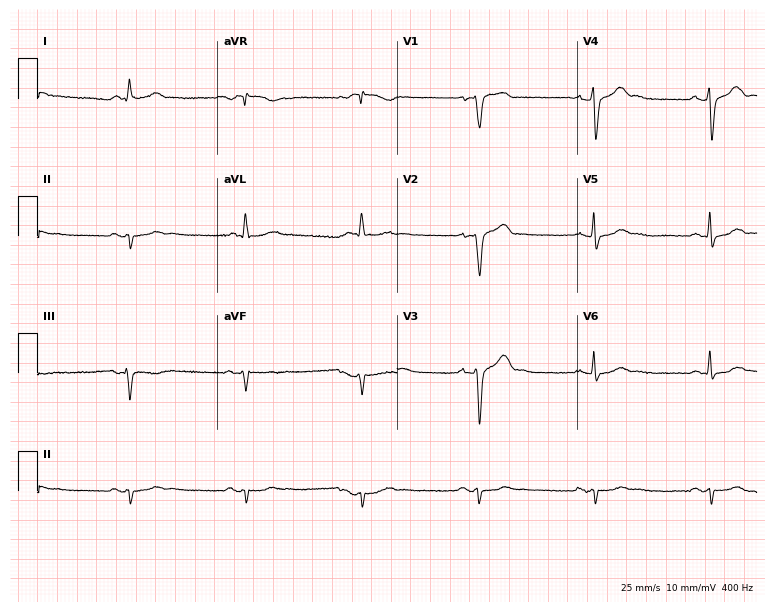
12-lead ECG from a 62-year-old woman (7.3-second recording at 400 Hz). No first-degree AV block, right bundle branch block, left bundle branch block, sinus bradycardia, atrial fibrillation or sinus tachycardia recorded for this tracing. Findings outside these six are not listed.